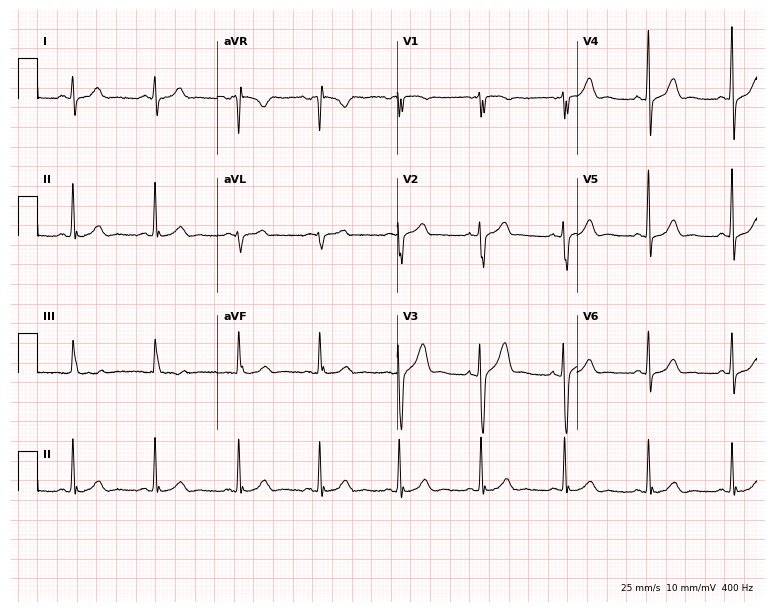
12-lead ECG from a 44-year-old male (7.3-second recording at 400 Hz). Recorded interpretation: within normal limits.